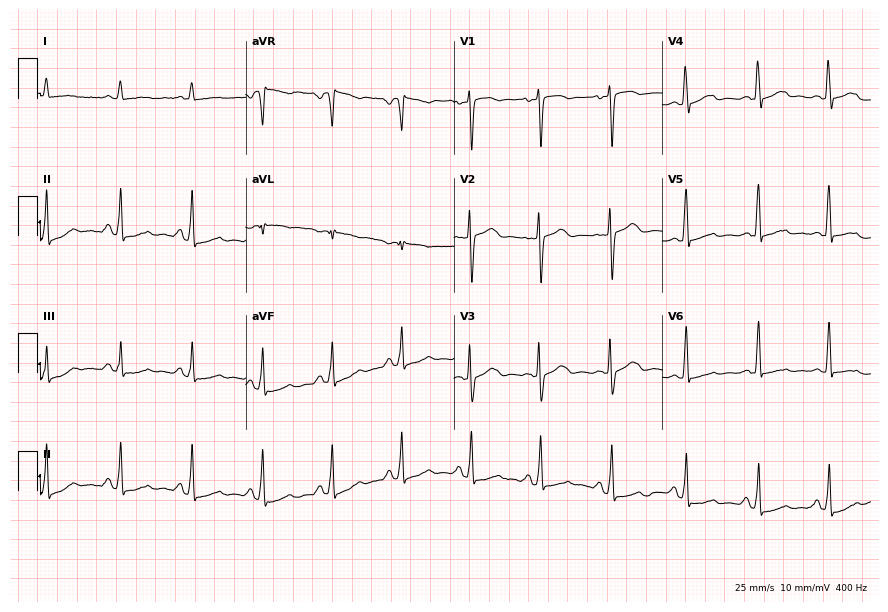
Standard 12-lead ECG recorded from a 58-year-old female (8.5-second recording at 400 Hz). None of these six findings is recorded: first-degree AV block, right bundle branch block, left bundle branch block, sinus bradycardia, atrial fibrillation, sinus tachycardia.